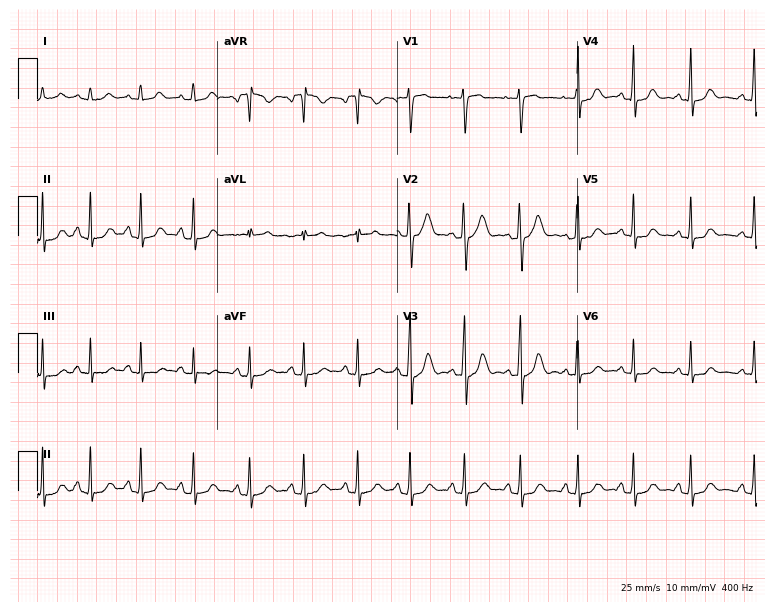
ECG (7.3-second recording at 400 Hz) — a 29-year-old female patient. Findings include sinus tachycardia (a sinus rate of 100 beats per minute or more).